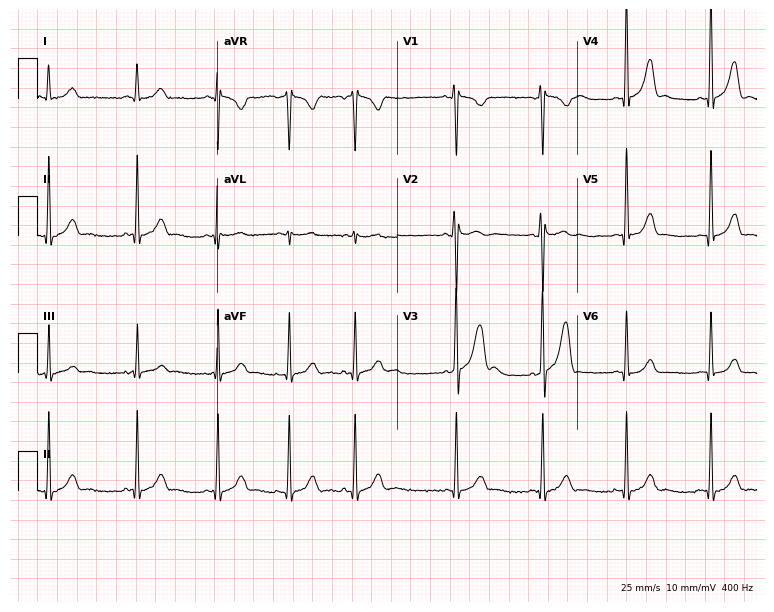
Electrocardiogram, a 26-year-old male patient. Overall reading on record: normal ECG.